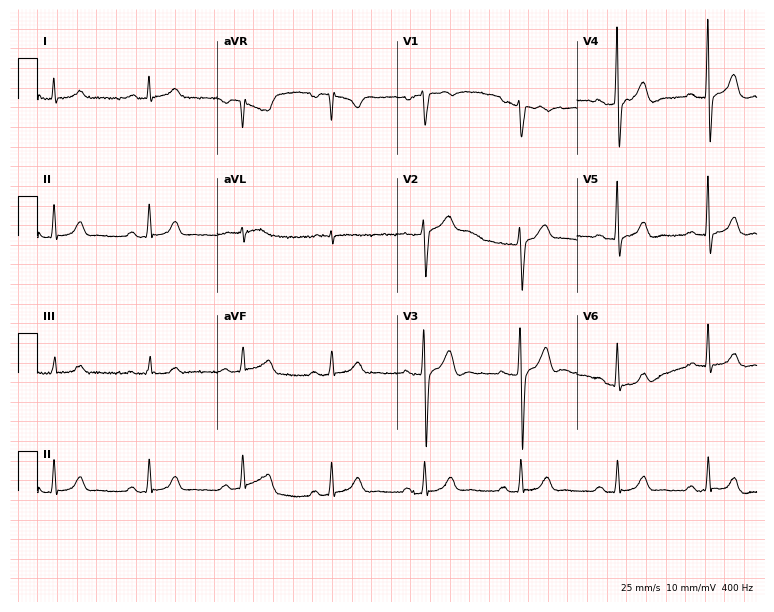
ECG — a male patient, 48 years old. Labelled as a normal ECG.